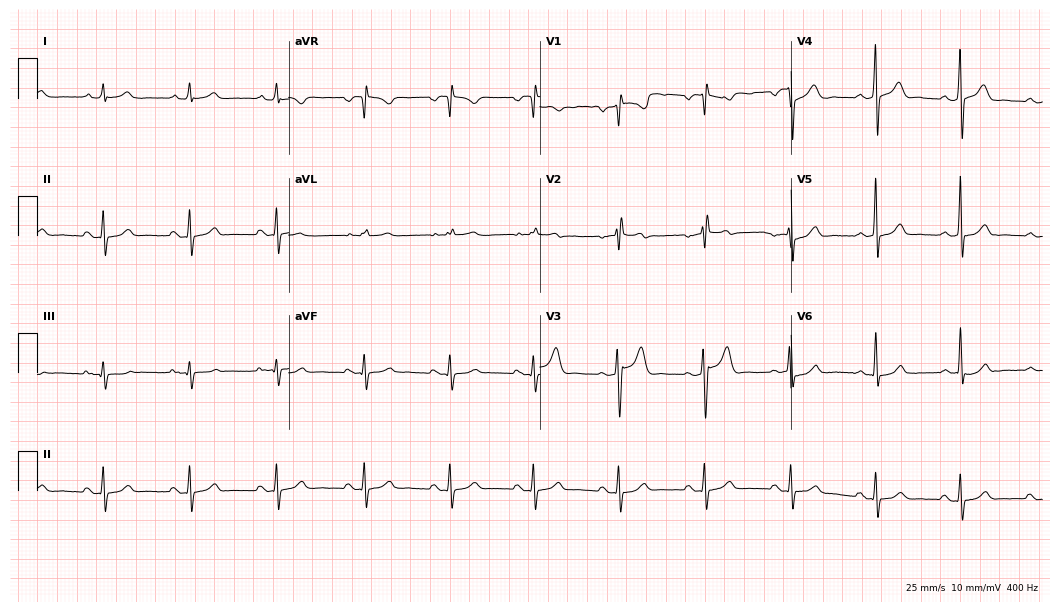
12-lead ECG from a male patient, 33 years old (10.2-second recording at 400 Hz). No first-degree AV block, right bundle branch block, left bundle branch block, sinus bradycardia, atrial fibrillation or sinus tachycardia recorded for this tracing.